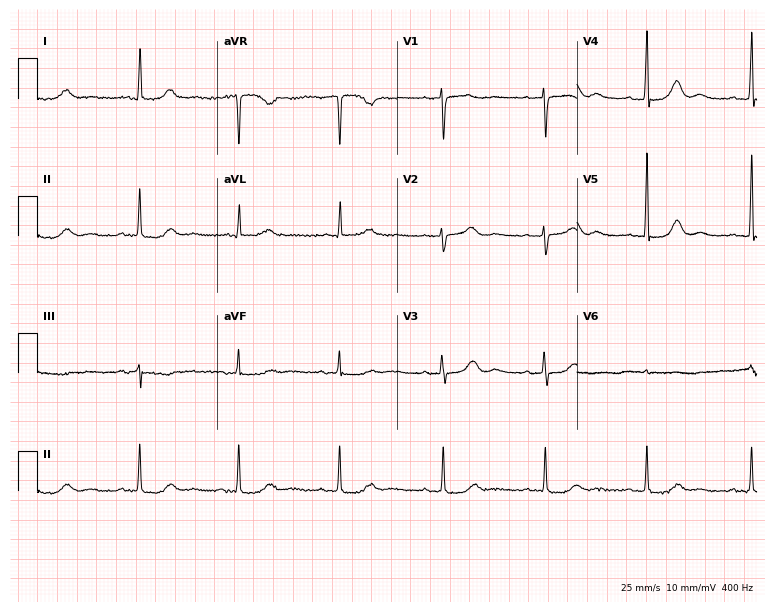
12-lead ECG from a female patient, 71 years old (7.3-second recording at 400 Hz). No first-degree AV block, right bundle branch block (RBBB), left bundle branch block (LBBB), sinus bradycardia, atrial fibrillation (AF) or sinus tachycardia recorded for this tracing. Other findings, if any, are not listed.